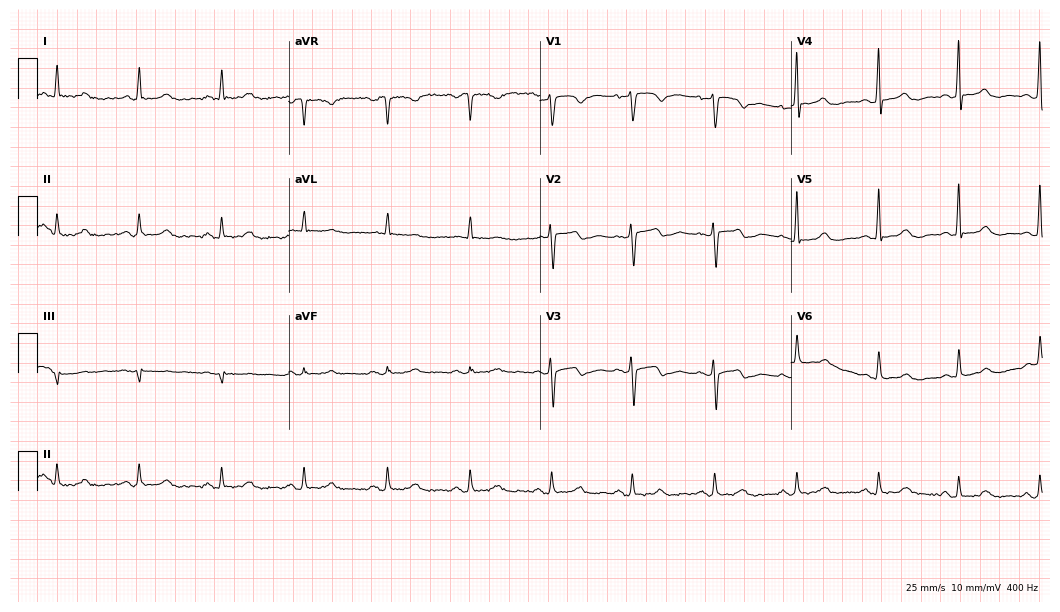
Electrocardiogram, a female, 54 years old. Overall reading on record: normal ECG.